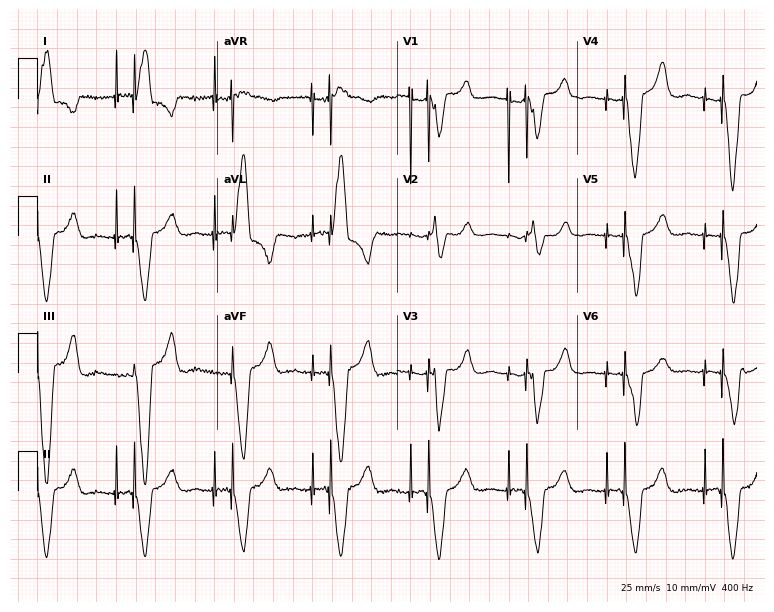
Electrocardiogram (7.3-second recording at 400 Hz), a 74-year-old female. Of the six screened findings (first-degree AV block, right bundle branch block, left bundle branch block, sinus bradycardia, atrial fibrillation, sinus tachycardia), none is recorded. Other findings, if any, are not listed.